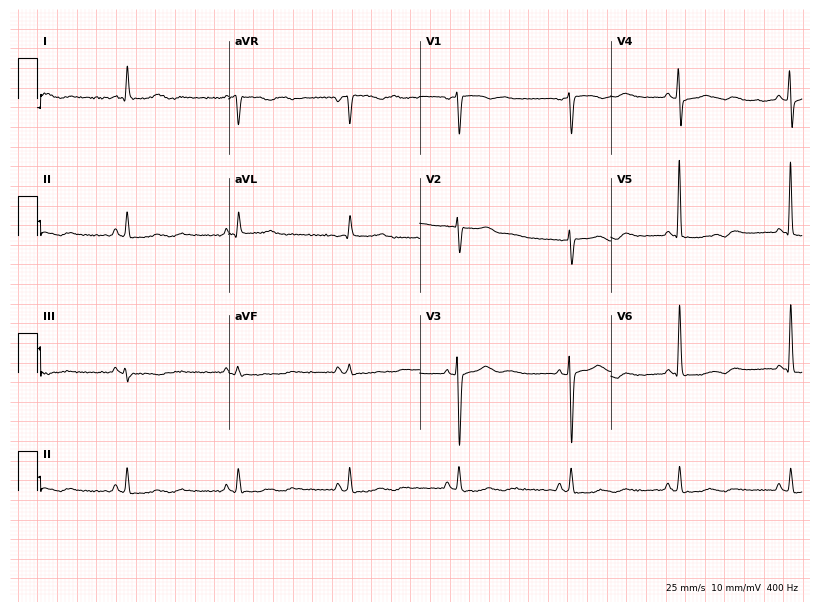
12-lead ECG from an 81-year-old woman (7.8-second recording at 400 Hz). No first-degree AV block, right bundle branch block, left bundle branch block, sinus bradycardia, atrial fibrillation or sinus tachycardia recorded for this tracing.